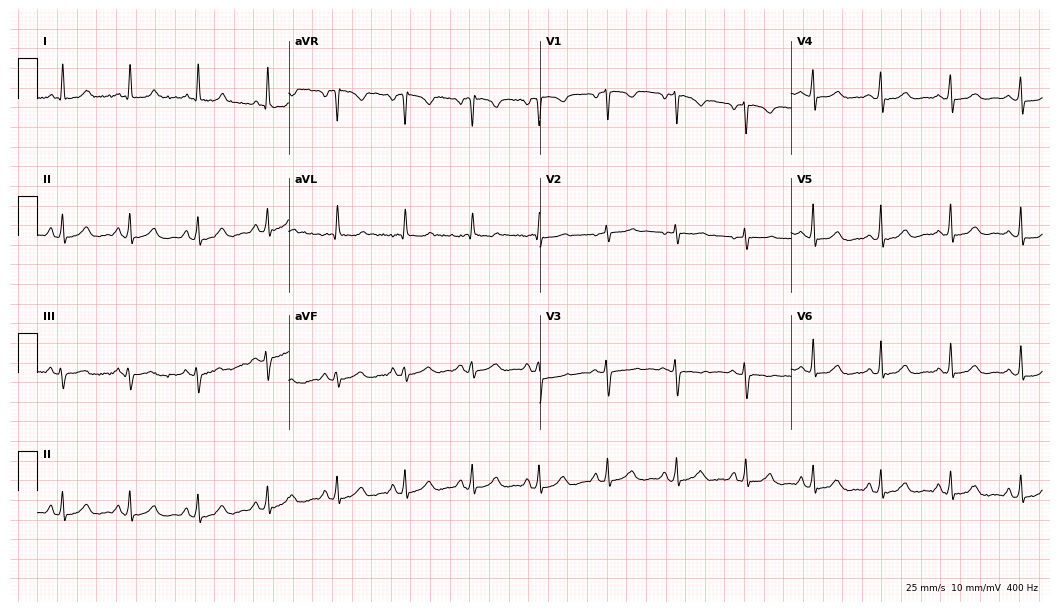
ECG — a 50-year-old female patient. Labelled as a normal ECG.